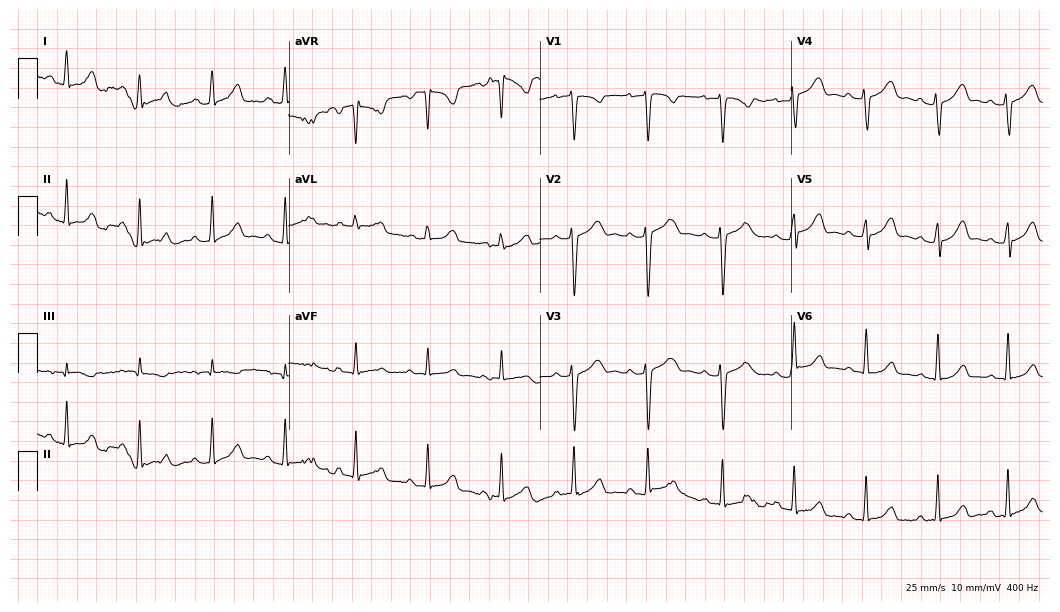
12-lead ECG (10.2-second recording at 400 Hz) from a 38-year-old woman. Labelled as a normal ECG.